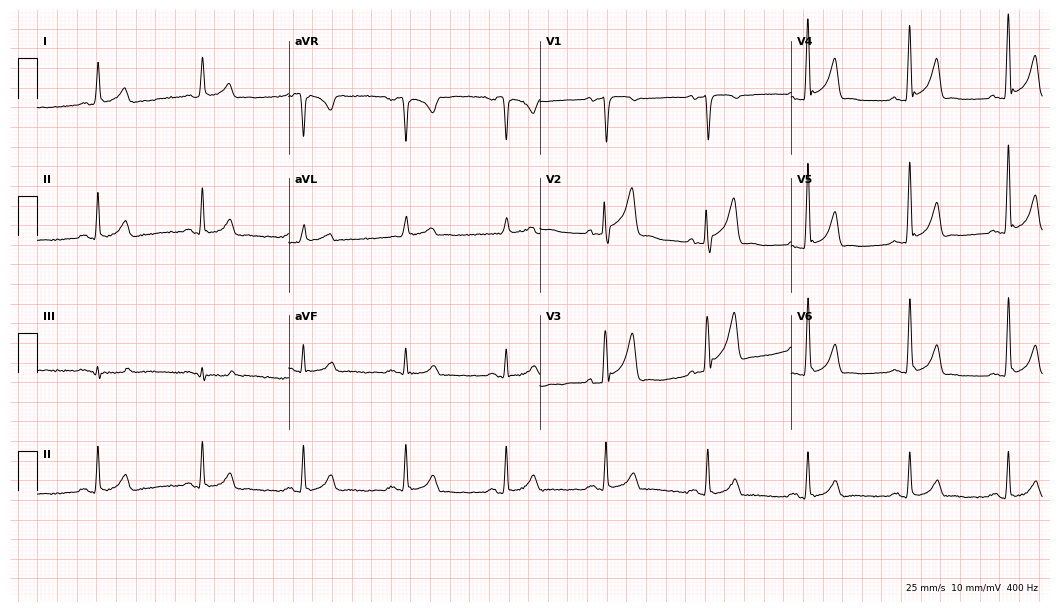
Resting 12-lead electrocardiogram. Patient: a male, 41 years old. None of these six findings is recorded: first-degree AV block, right bundle branch block, left bundle branch block, sinus bradycardia, atrial fibrillation, sinus tachycardia.